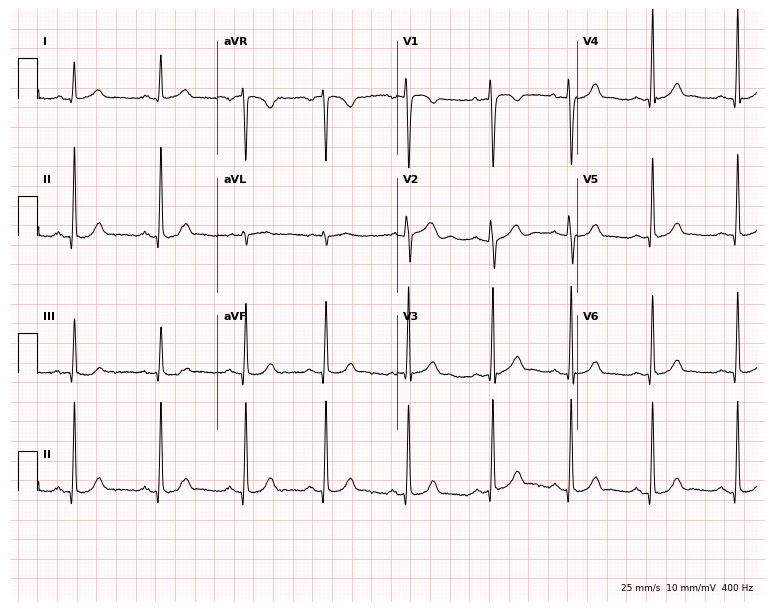
ECG (7.3-second recording at 400 Hz) — a female patient, 29 years old. Labelled as a normal ECG.